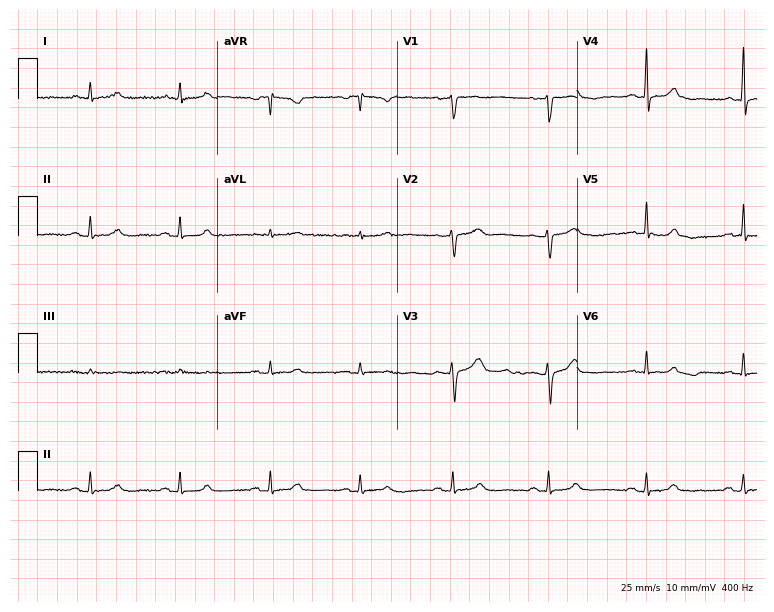
12-lead ECG from a female, 65 years old (7.3-second recording at 400 Hz). No first-degree AV block, right bundle branch block, left bundle branch block, sinus bradycardia, atrial fibrillation or sinus tachycardia recorded for this tracing. Findings outside these six are not listed.